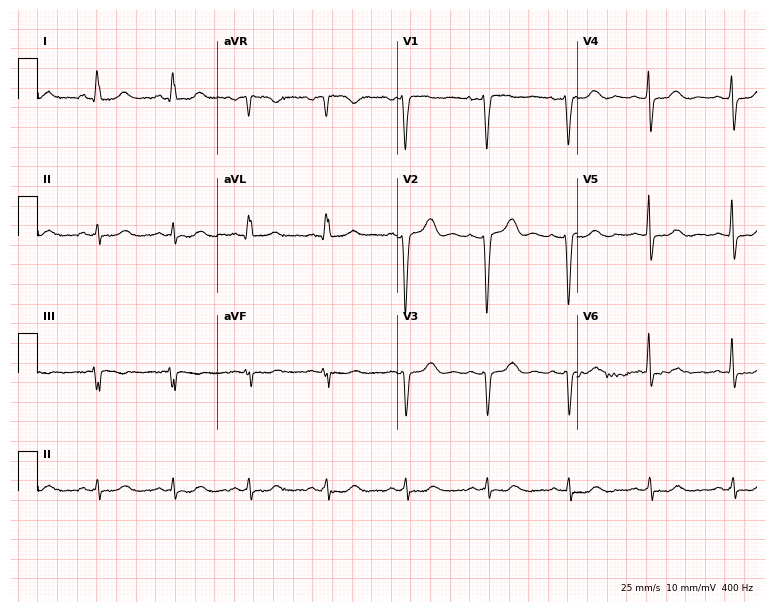
ECG — a 43-year-old female. Screened for six findings — first-degree AV block, right bundle branch block (RBBB), left bundle branch block (LBBB), sinus bradycardia, atrial fibrillation (AF), sinus tachycardia — none is recorded.